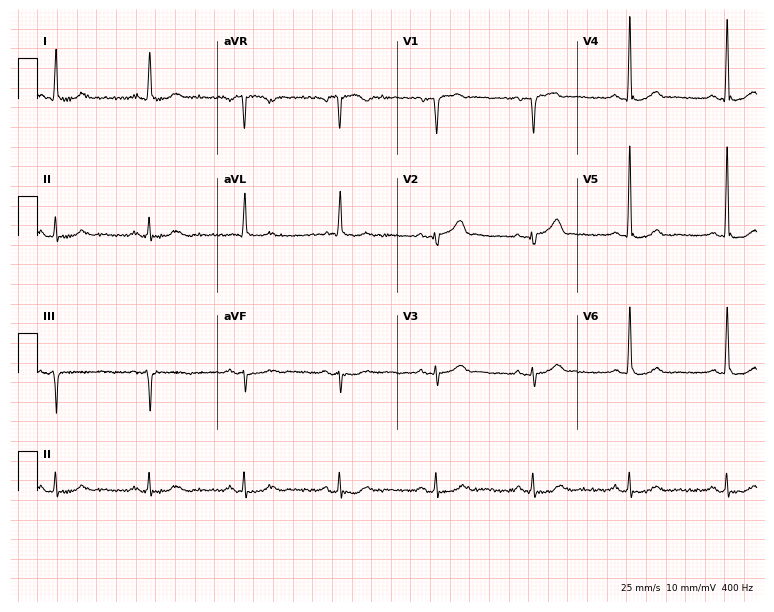
Standard 12-lead ECG recorded from a male, 84 years old. Read as a normal ECG.